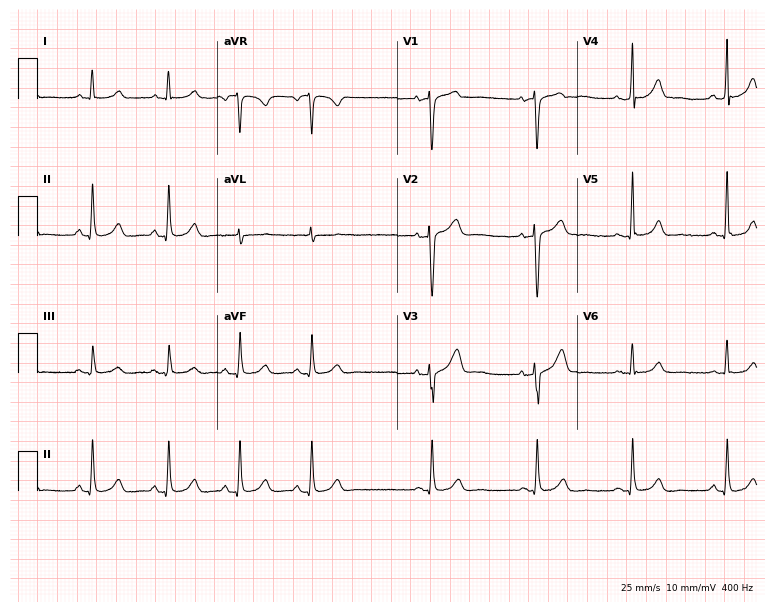
12-lead ECG from a woman, 60 years old (7.3-second recording at 400 Hz). No first-degree AV block, right bundle branch block (RBBB), left bundle branch block (LBBB), sinus bradycardia, atrial fibrillation (AF) or sinus tachycardia recorded for this tracing.